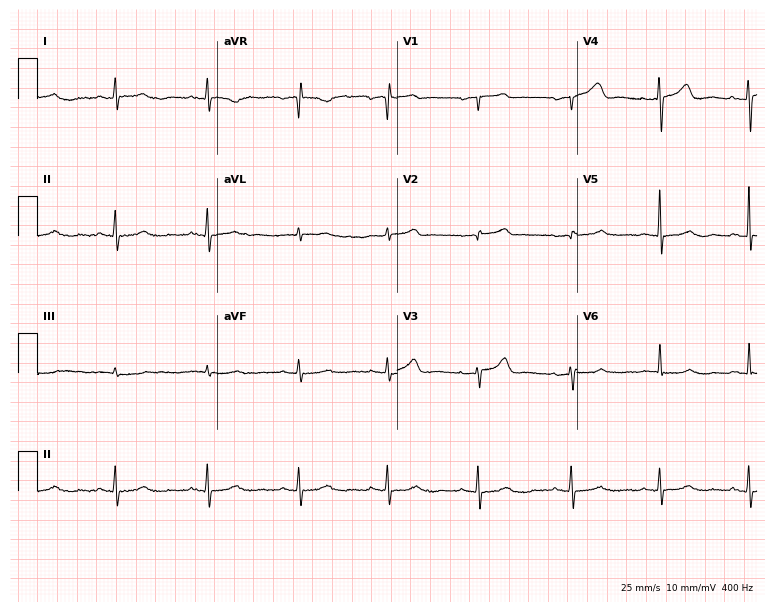
12-lead ECG (7.3-second recording at 400 Hz) from a 72-year-old woman. Screened for six findings — first-degree AV block, right bundle branch block (RBBB), left bundle branch block (LBBB), sinus bradycardia, atrial fibrillation (AF), sinus tachycardia — none is recorded.